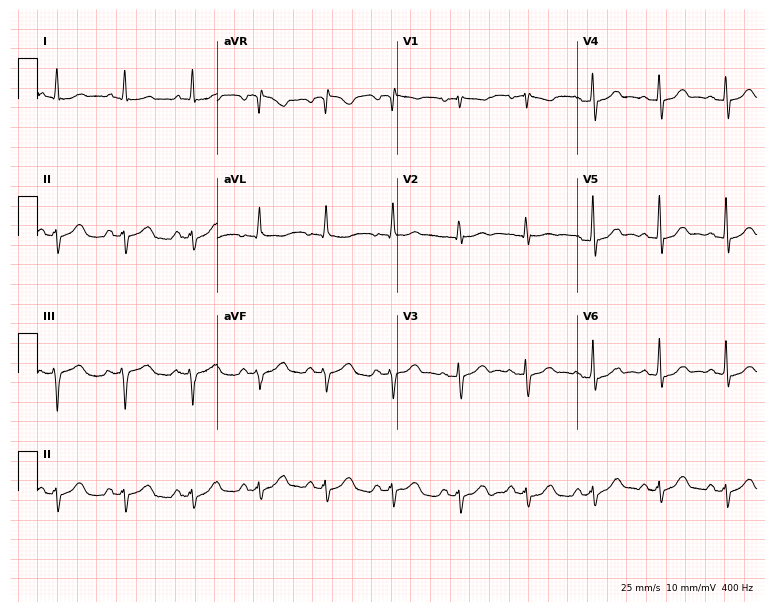
ECG (7.3-second recording at 400 Hz) — a 68-year-old male. Screened for six findings — first-degree AV block, right bundle branch block, left bundle branch block, sinus bradycardia, atrial fibrillation, sinus tachycardia — none is recorded.